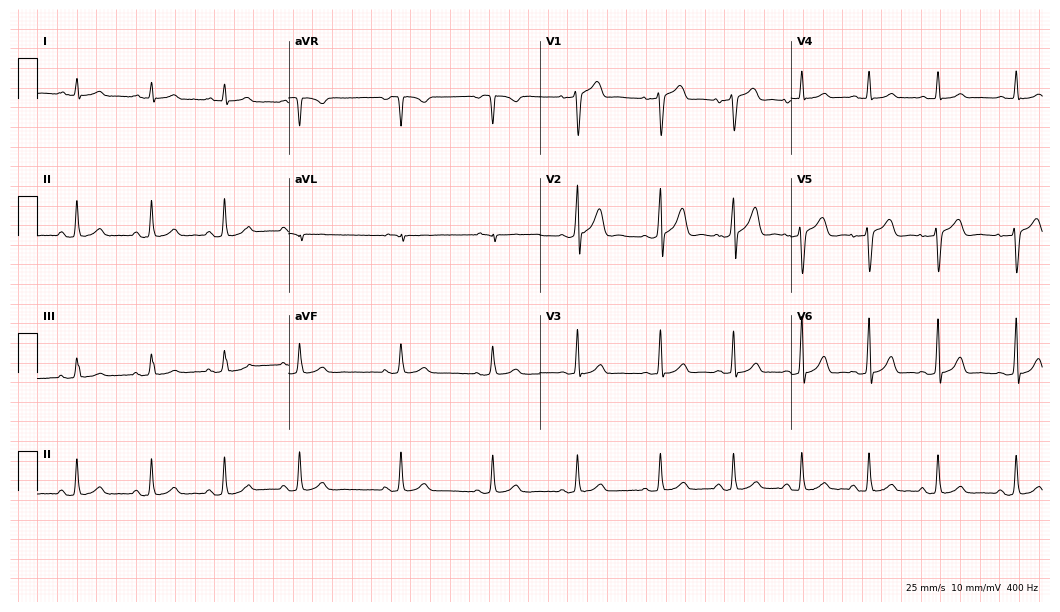
Standard 12-lead ECG recorded from a 22-year-old male. None of these six findings is recorded: first-degree AV block, right bundle branch block, left bundle branch block, sinus bradycardia, atrial fibrillation, sinus tachycardia. Findings outside these six are not listed.